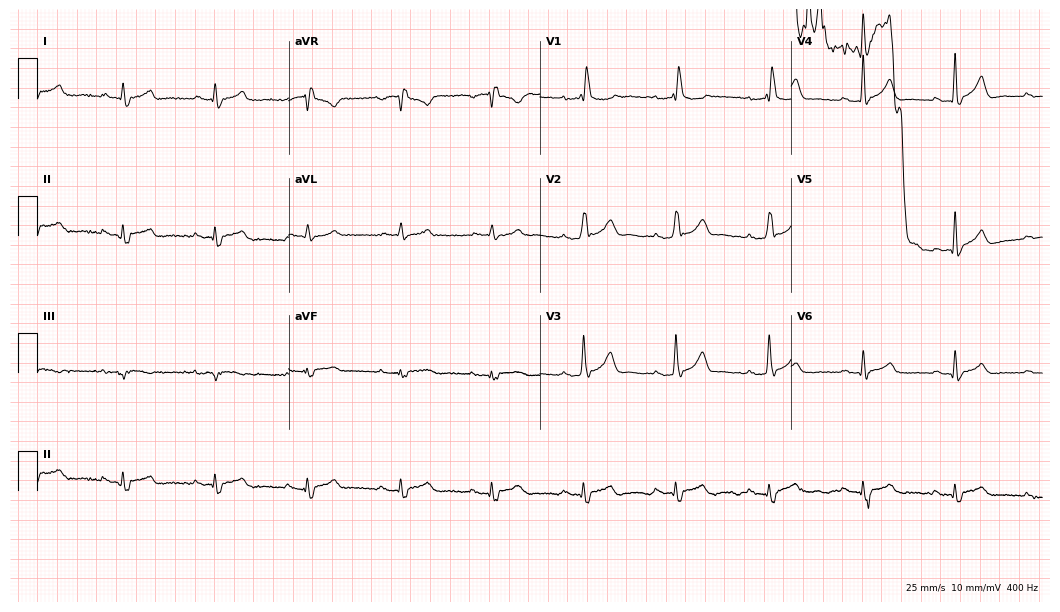
Resting 12-lead electrocardiogram (10.2-second recording at 400 Hz). Patient: a man, 46 years old. None of these six findings is recorded: first-degree AV block, right bundle branch block, left bundle branch block, sinus bradycardia, atrial fibrillation, sinus tachycardia. Findings outside these six are not listed.